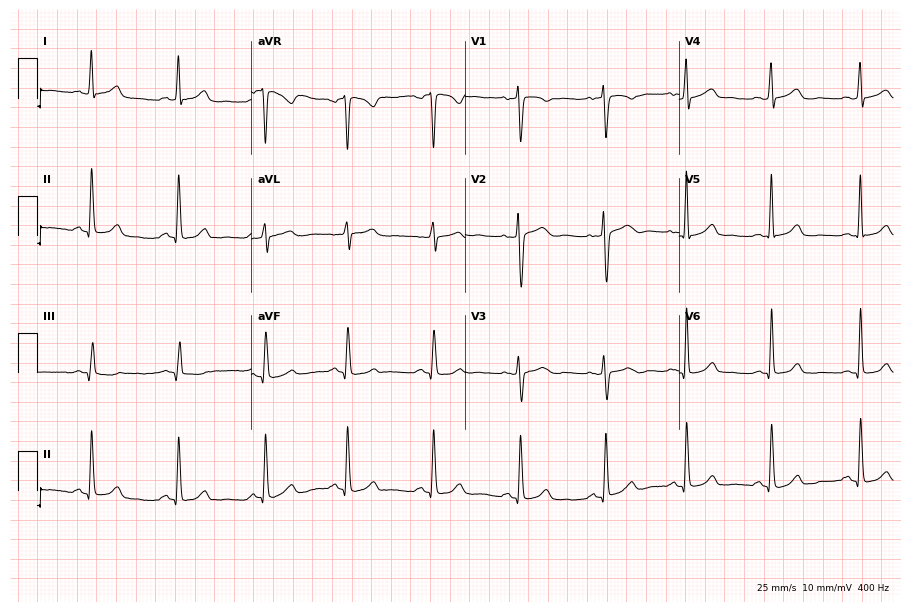
Standard 12-lead ECG recorded from a 43-year-old female patient. Read as a normal ECG.